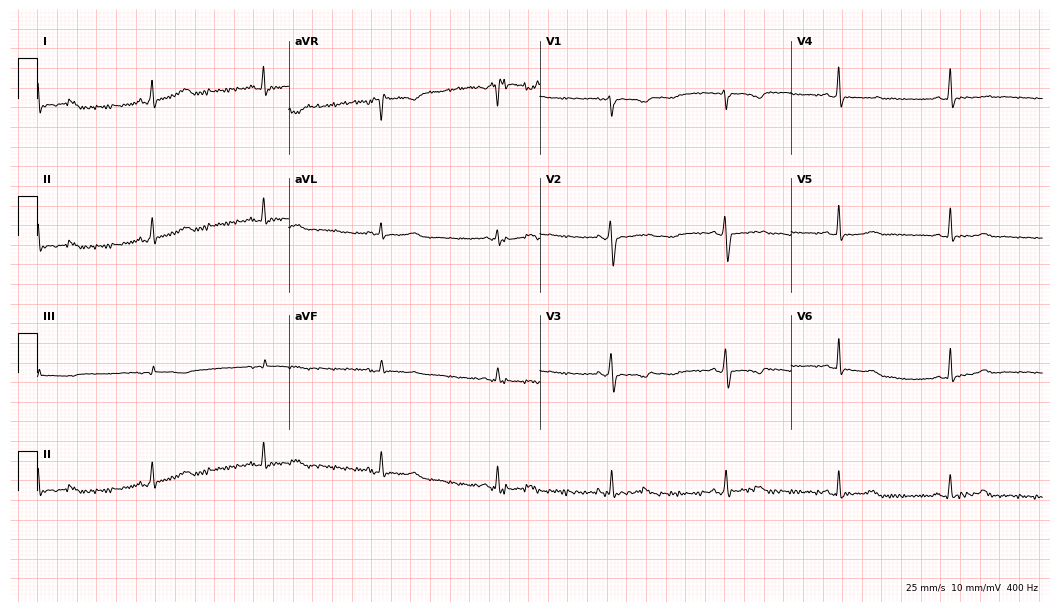
ECG (10.2-second recording at 400 Hz) — a female, 36 years old. Screened for six findings — first-degree AV block, right bundle branch block, left bundle branch block, sinus bradycardia, atrial fibrillation, sinus tachycardia — none is recorded. Only these six findings were labelled.